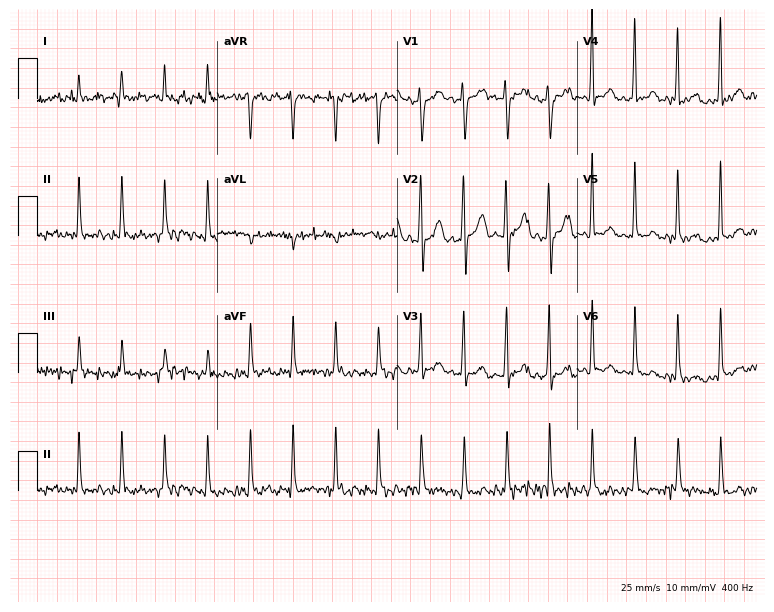
Electrocardiogram (7.3-second recording at 400 Hz), a female, 32 years old. Of the six screened findings (first-degree AV block, right bundle branch block, left bundle branch block, sinus bradycardia, atrial fibrillation, sinus tachycardia), none is recorded. Other findings, if any, are not listed.